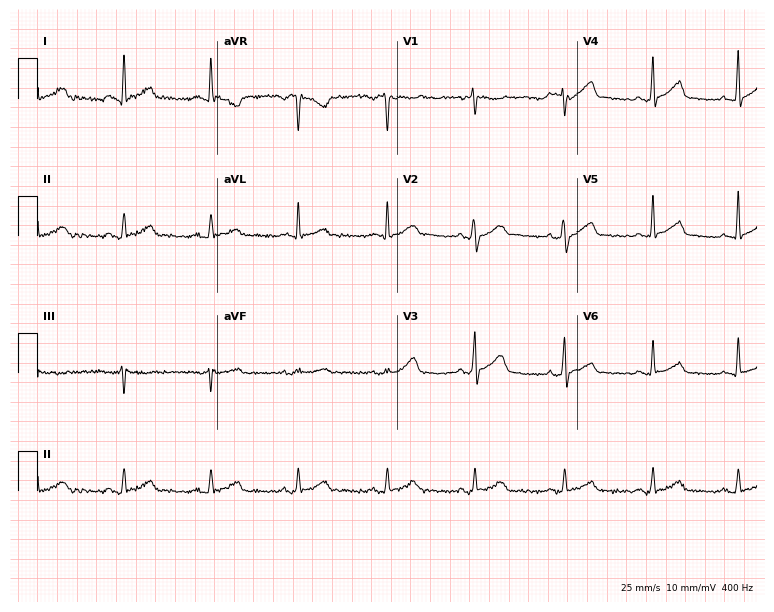
ECG — a 44-year-old man. Labelled as a normal ECG.